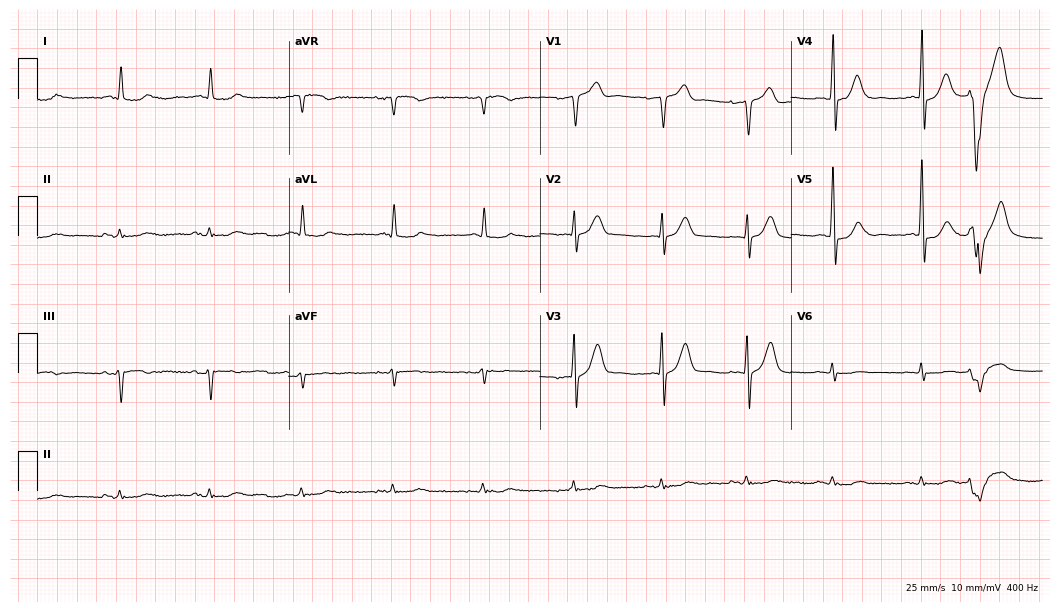
ECG — a male, 78 years old. Screened for six findings — first-degree AV block, right bundle branch block, left bundle branch block, sinus bradycardia, atrial fibrillation, sinus tachycardia — none is recorded.